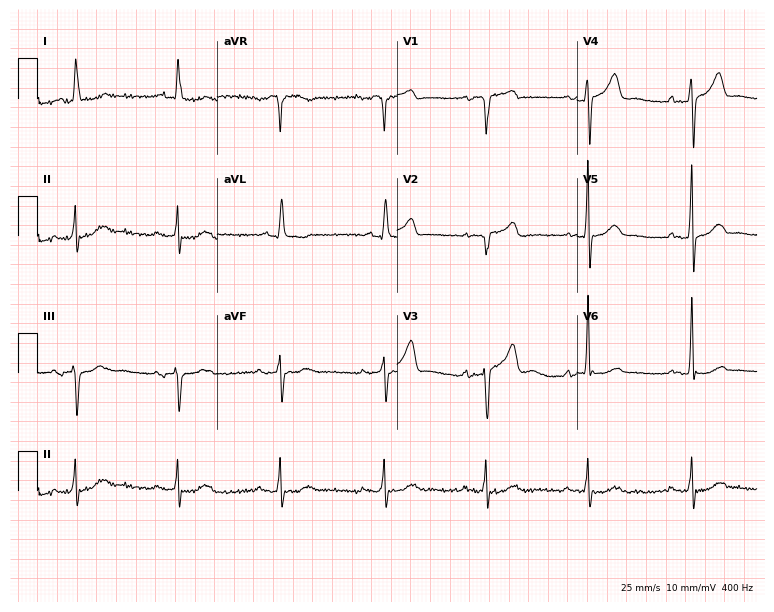
Electrocardiogram, a male patient, 72 years old. Overall reading on record: normal ECG.